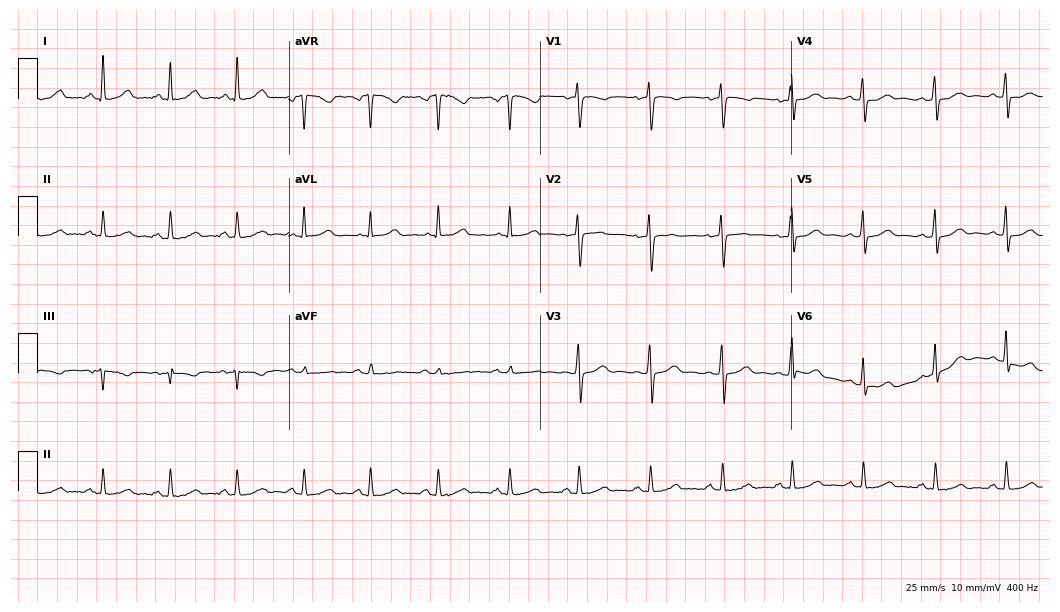
Resting 12-lead electrocardiogram (10.2-second recording at 400 Hz). Patient: a female, 34 years old. Read as a normal ECG.